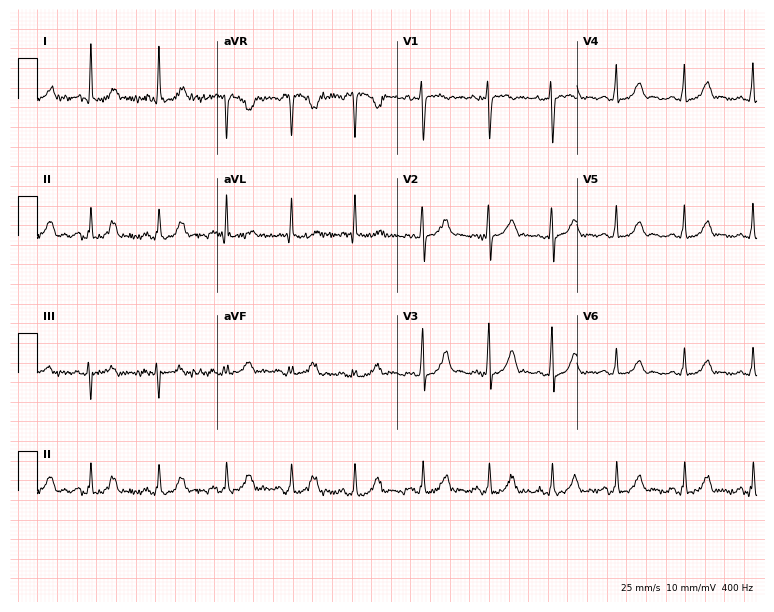
ECG — a 31-year-old female patient. Screened for six findings — first-degree AV block, right bundle branch block, left bundle branch block, sinus bradycardia, atrial fibrillation, sinus tachycardia — none is recorded.